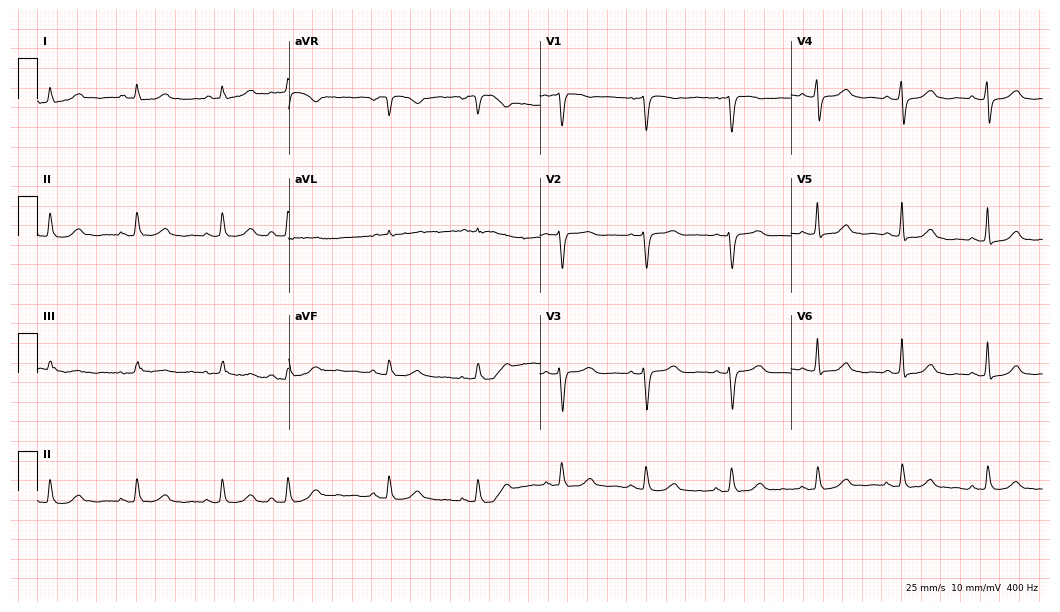
Resting 12-lead electrocardiogram. Patient: a 75-year-old woman. None of these six findings is recorded: first-degree AV block, right bundle branch block, left bundle branch block, sinus bradycardia, atrial fibrillation, sinus tachycardia.